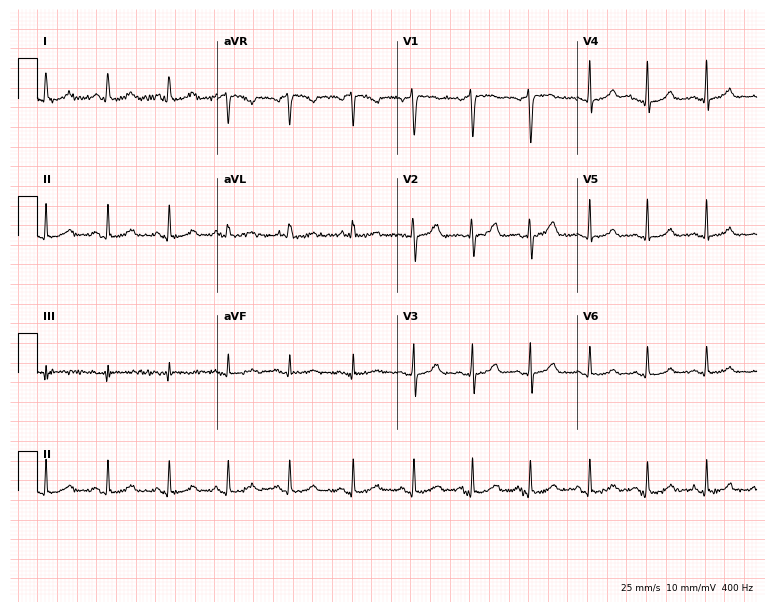
ECG (7.3-second recording at 400 Hz) — a 40-year-old female patient. Labelled as a normal ECG.